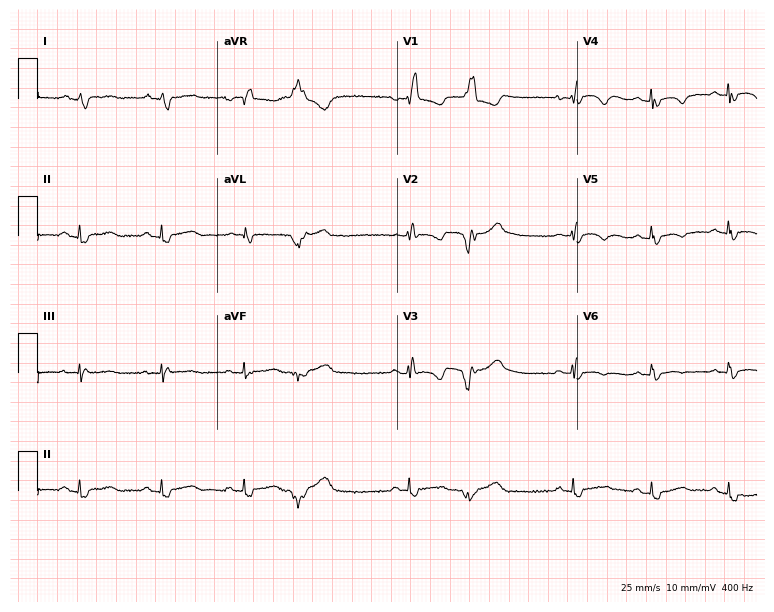
ECG — a male patient, 54 years old. Findings include right bundle branch block (RBBB).